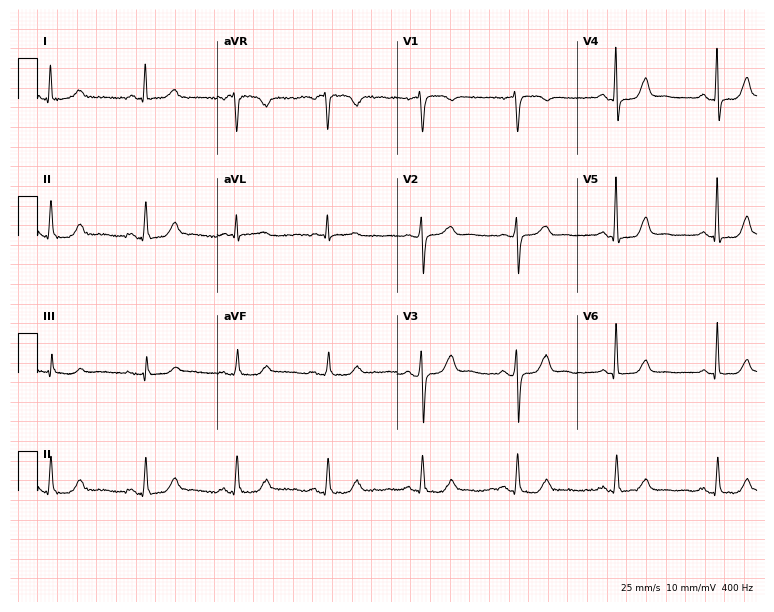
Resting 12-lead electrocardiogram (7.3-second recording at 400 Hz). Patient: a woman, 60 years old. None of these six findings is recorded: first-degree AV block, right bundle branch block, left bundle branch block, sinus bradycardia, atrial fibrillation, sinus tachycardia.